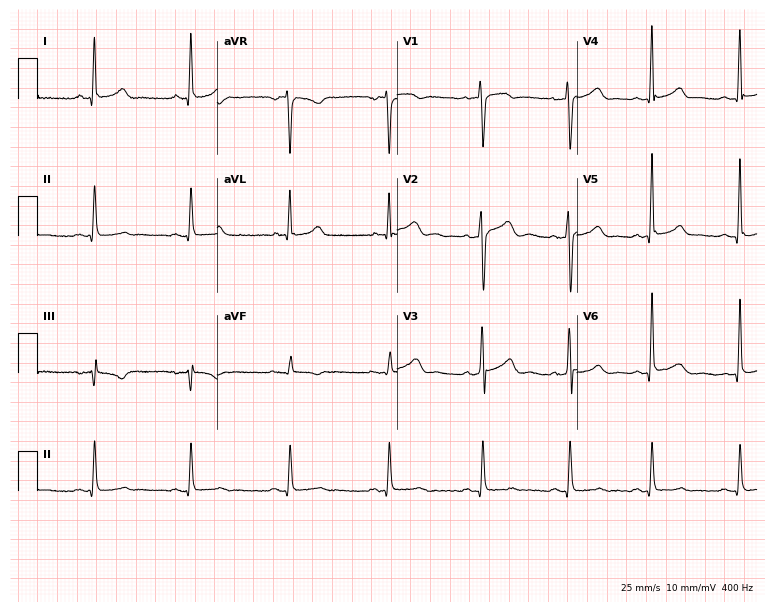
Resting 12-lead electrocardiogram. Patient: a 47-year-old male. None of these six findings is recorded: first-degree AV block, right bundle branch block, left bundle branch block, sinus bradycardia, atrial fibrillation, sinus tachycardia.